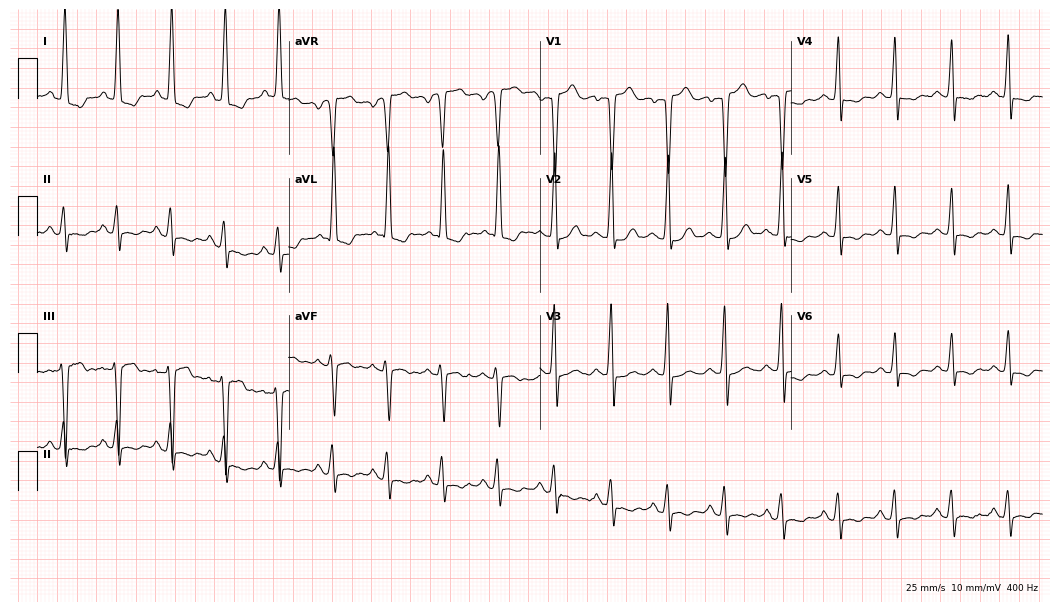
Standard 12-lead ECG recorded from a female, 53 years old. The tracing shows sinus tachycardia (a sinus rate of 100 beats per minute or more).